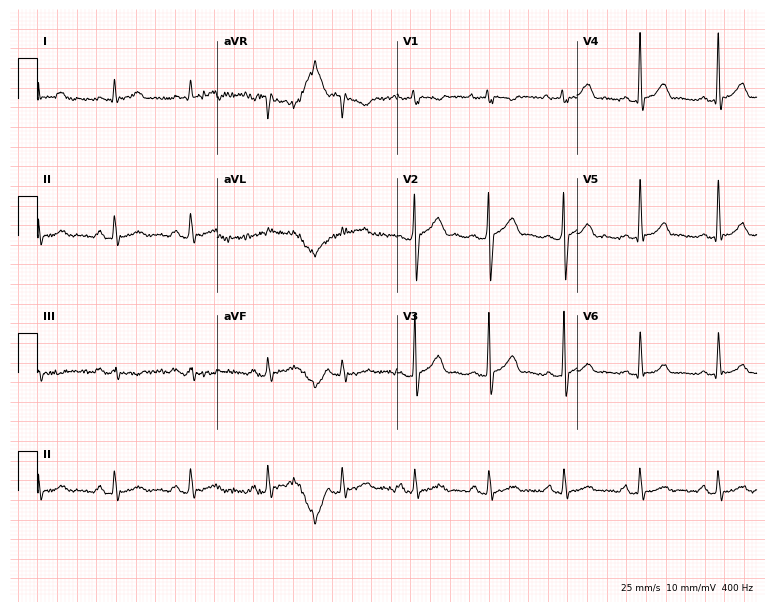
Resting 12-lead electrocardiogram (7.3-second recording at 400 Hz). Patient: a male, 37 years old. Read as a normal ECG.